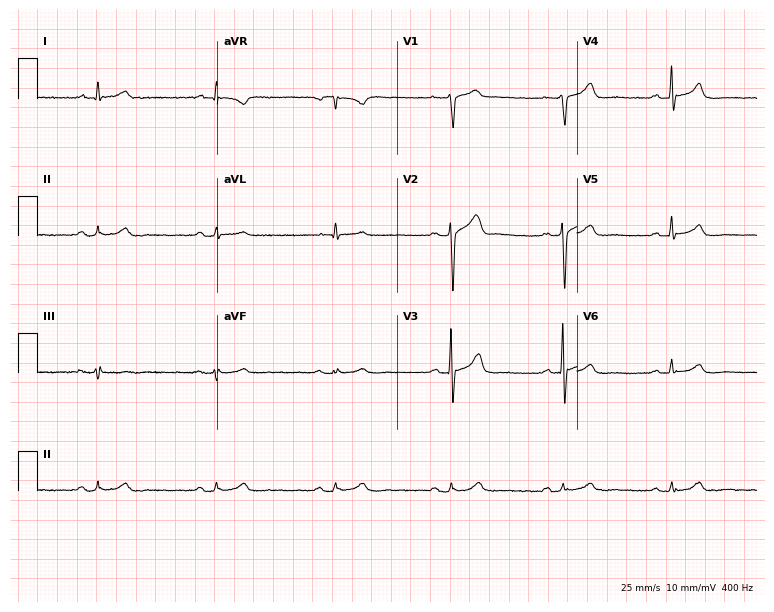
12-lead ECG from a 71-year-old man. Recorded interpretation: within normal limits.